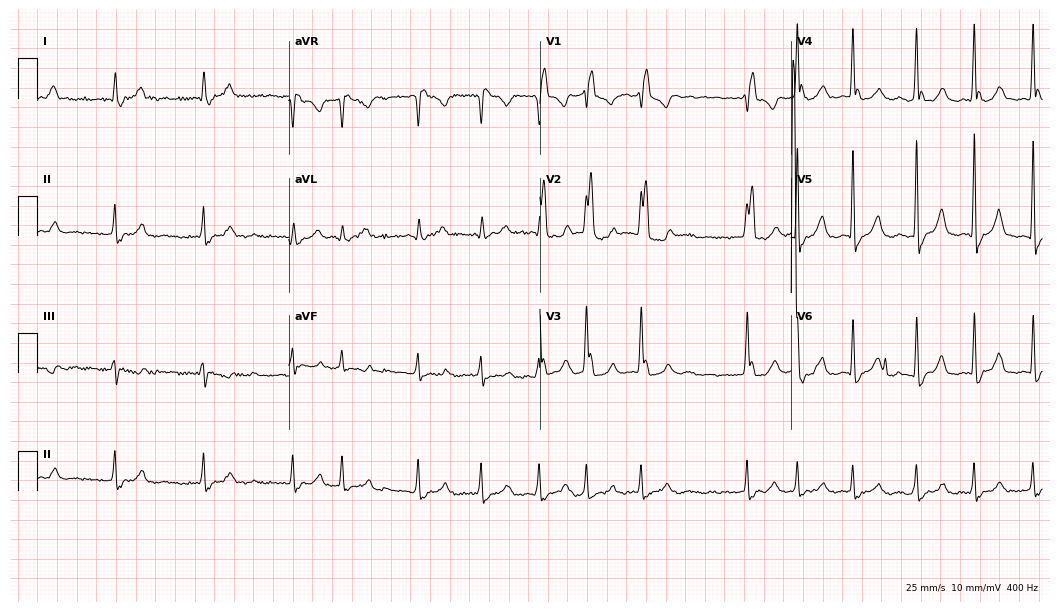
12-lead ECG from a 76-year-old woman (10.2-second recording at 400 Hz). Shows right bundle branch block (RBBB), atrial fibrillation (AF).